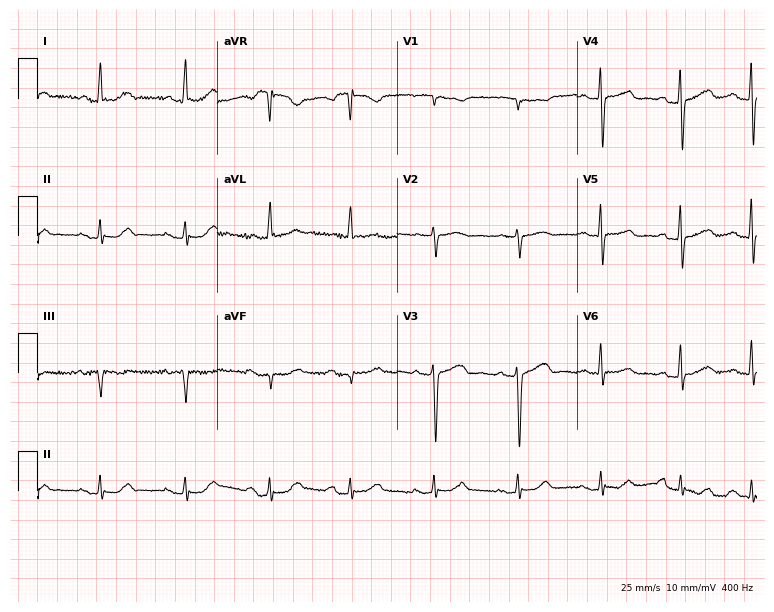
12-lead ECG from a female patient, 69 years old (7.3-second recording at 400 Hz). No first-degree AV block, right bundle branch block (RBBB), left bundle branch block (LBBB), sinus bradycardia, atrial fibrillation (AF) or sinus tachycardia recorded for this tracing. Only these six findings were labelled.